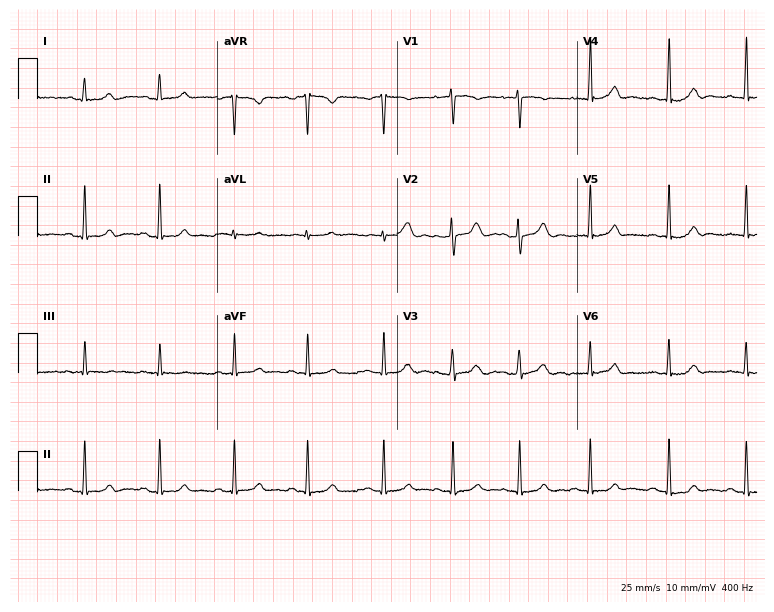
12-lead ECG from a female patient, 19 years old. Recorded interpretation: within normal limits.